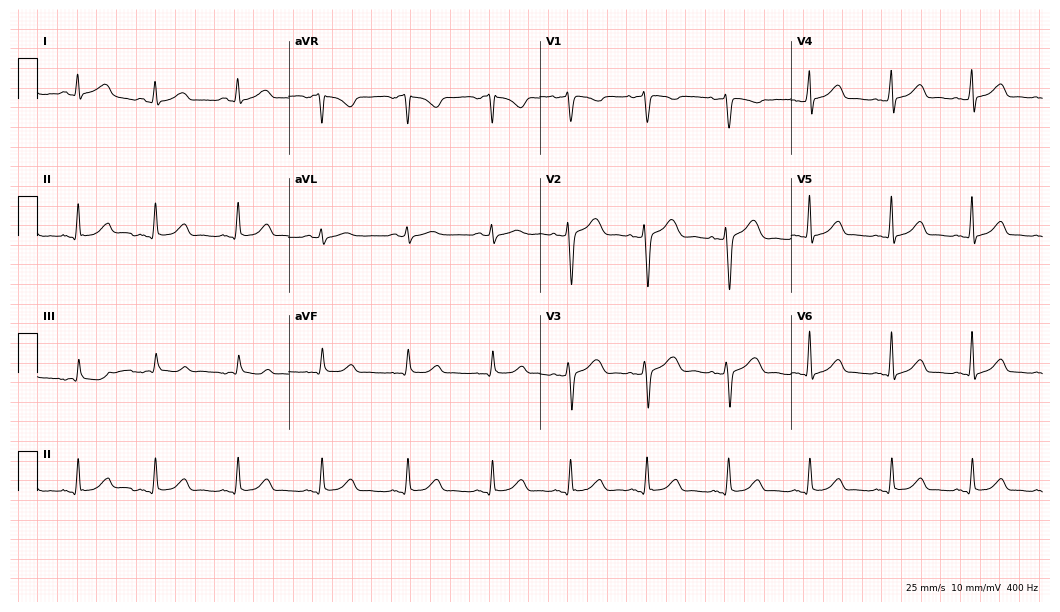
ECG — a 36-year-old female patient. Screened for six findings — first-degree AV block, right bundle branch block, left bundle branch block, sinus bradycardia, atrial fibrillation, sinus tachycardia — none is recorded. Only these six findings were labelled.